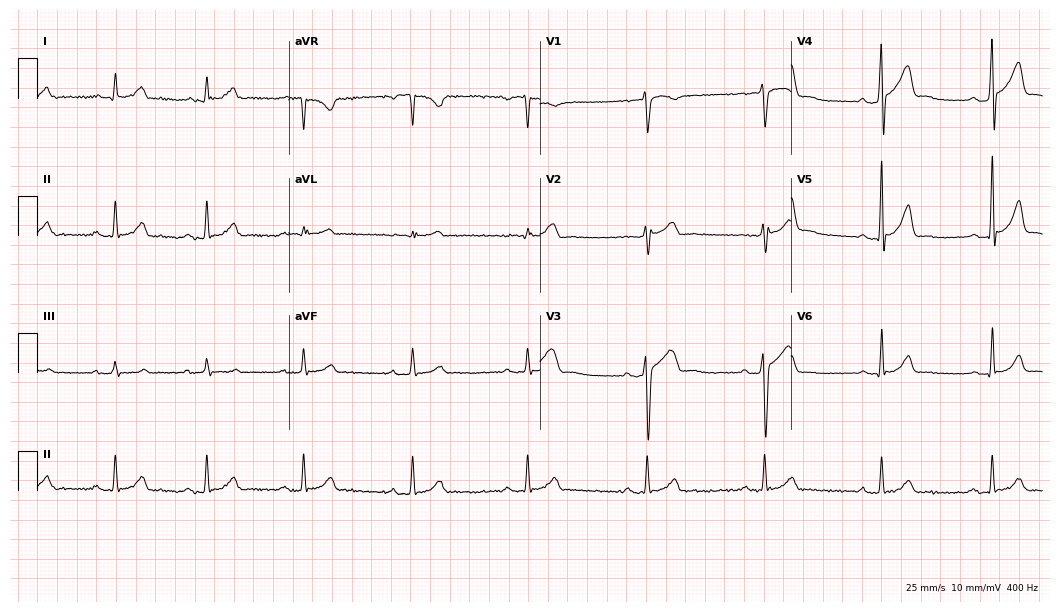
12-lead ECG from a 38-year-old male patient (10.2-second recording at 400 Hz). Recorded interpretation: within normal limits.